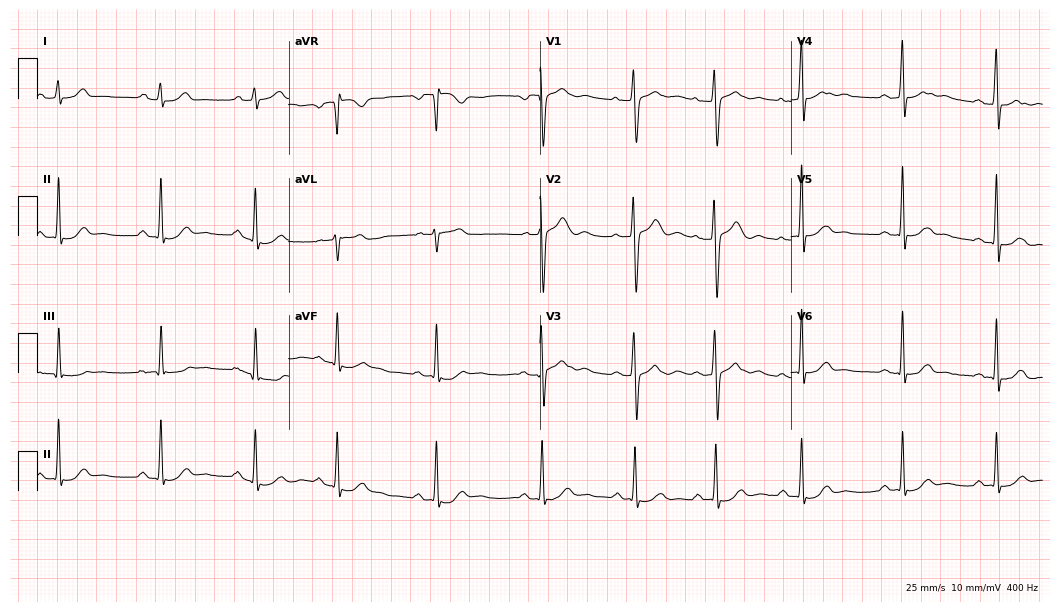
Resting 12-lead electrocardiogram (10.2-second recording at 400 Hz). Patient: a 30-year-old female. Read as a normal ECG.